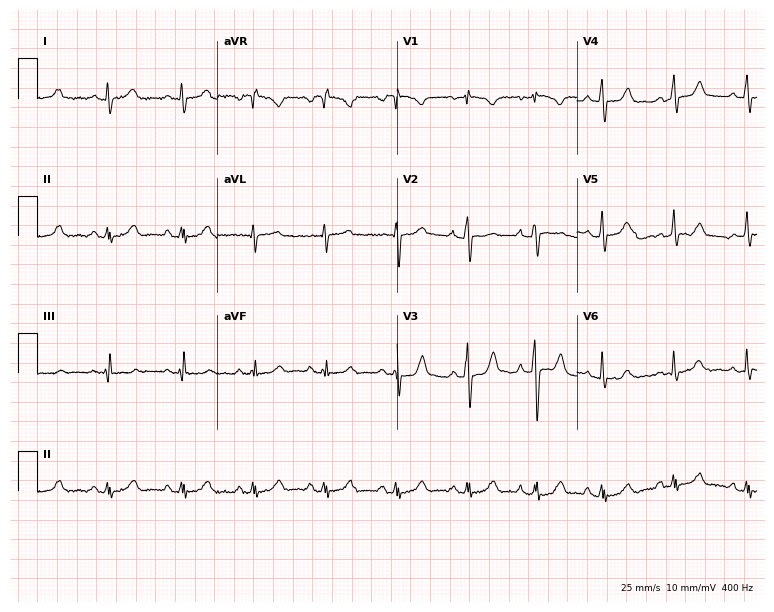
ECG — a female patient, 23 years old. Labelled as a normal ECG.